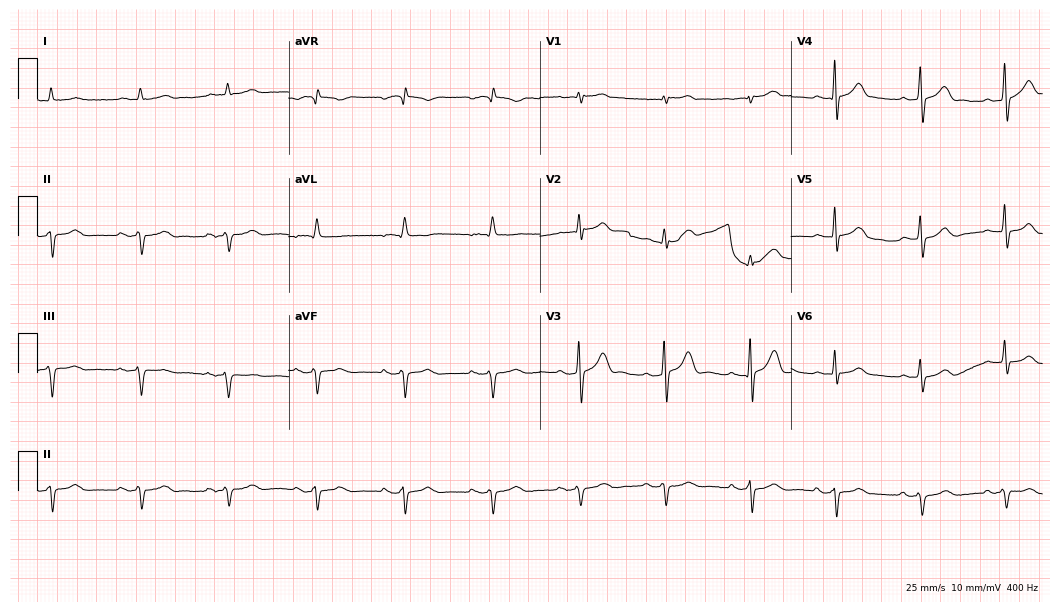
Resting 12-lead electrocardiogram. Patient: an 84-year-old man. None of these six findings is recorded: first-degree AV block, right bundle branch block (RBBB), left bundle branch block (LBBB), sinus bradycardia, atrial fibrillation (AF), sinus tachycardia. Other findings, if any, are not listed.